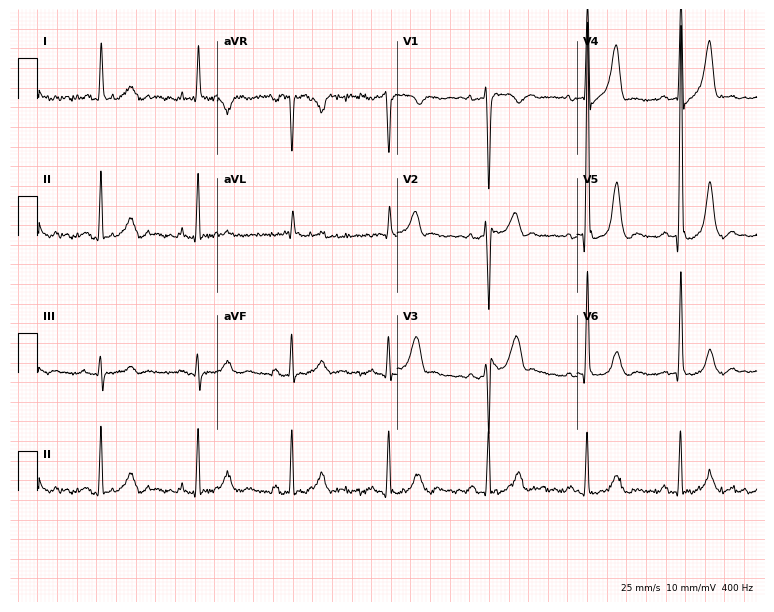
12-lead ECG from a 67-year-old man. Screened for six findings — first-degree AV block, right bundle branch block, left bundle branch block, sinus bradycardia, atrial fibrillation, sinus tachycardia — none is recorded.